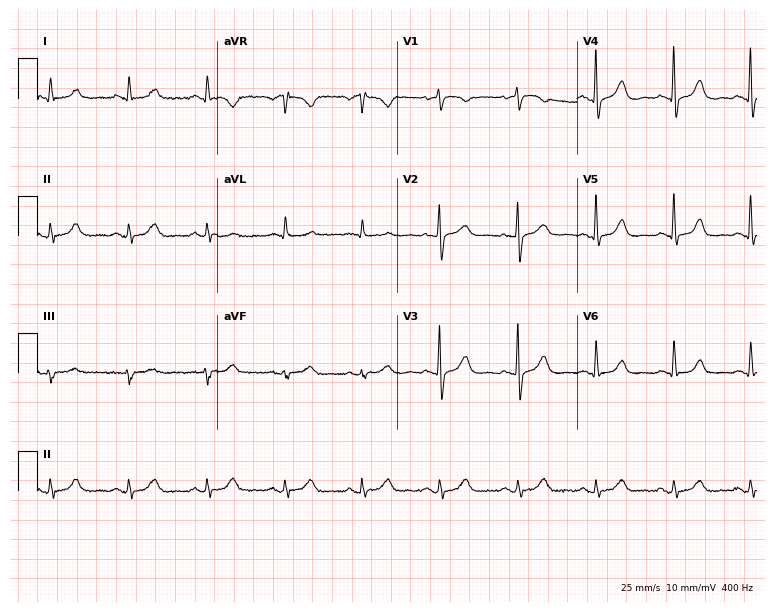
12-lead ECG (7.3-second recording at 400 Hz) from a woman, 76 years old. Labelled as a normal ECG.